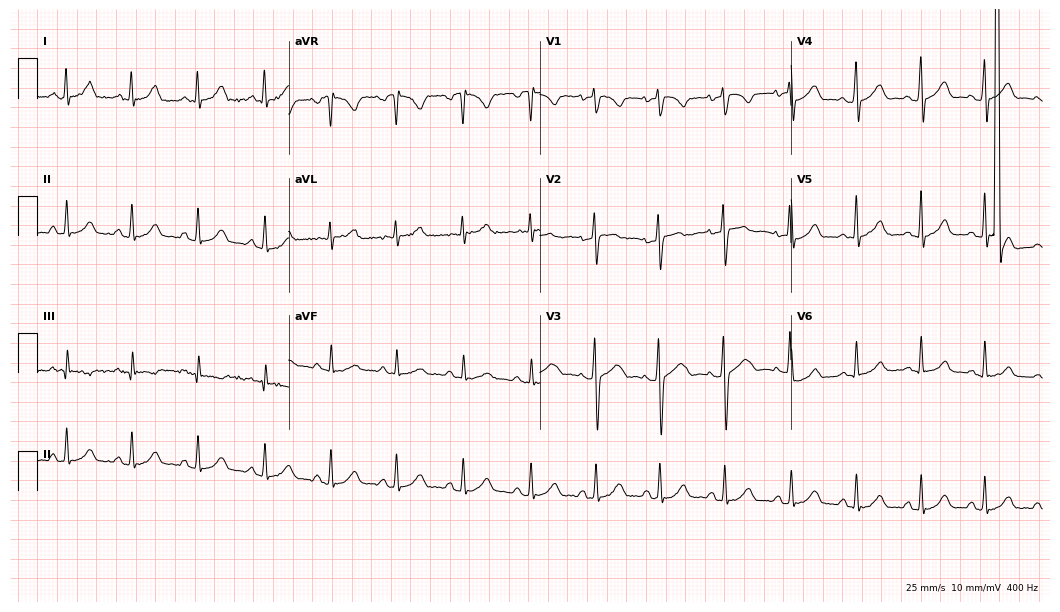
12-lead ECG from a 28-year-old female patient. Screened for six findings — first-degree AV block, right bundle branch block (RBBB), left bundle branch block (LBBB), sinus bradycardia, atrial fibrillation (AF), sinus tachycardia — none is recorded.